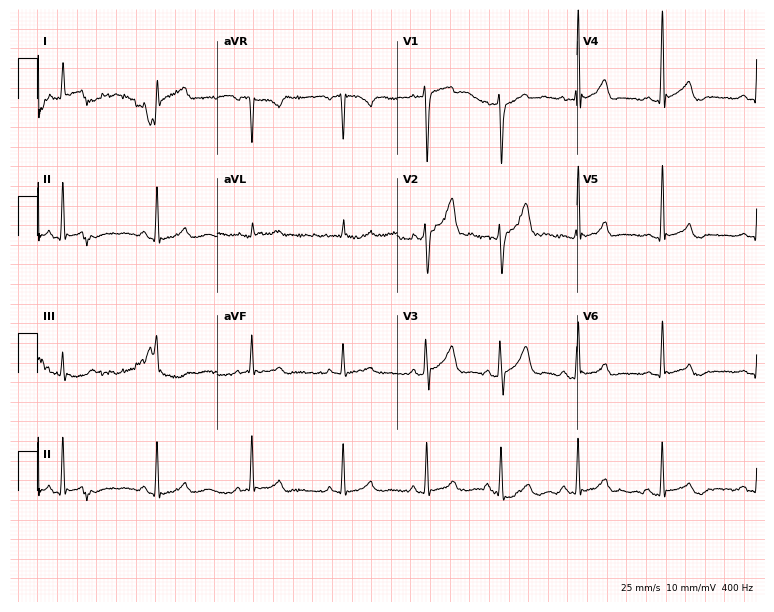
Electrocardiogram (7.3-second recording at 400 Hz), a man, 34 years old. Overall reading on record: normal ECG.